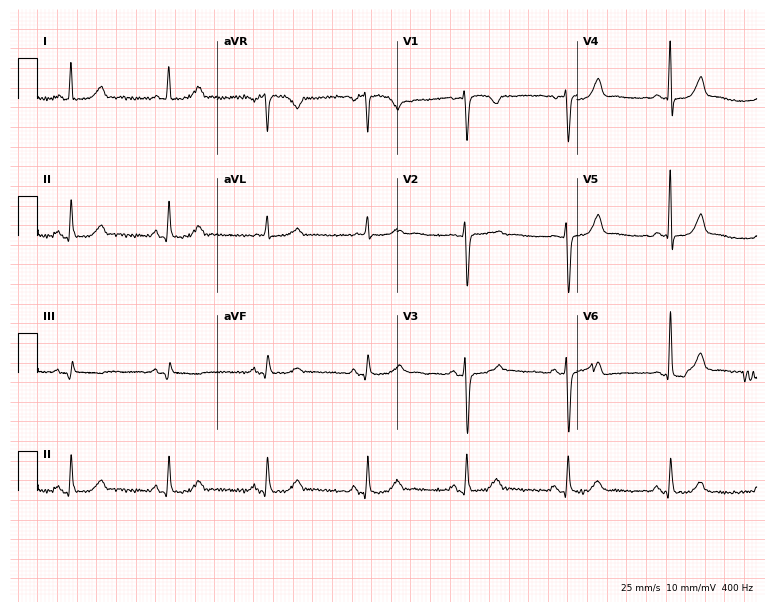
Standard 12-lead ECG recorded from a 65-year-old female (7.3-second recording at 400 Hz). Read as a normal ECG.